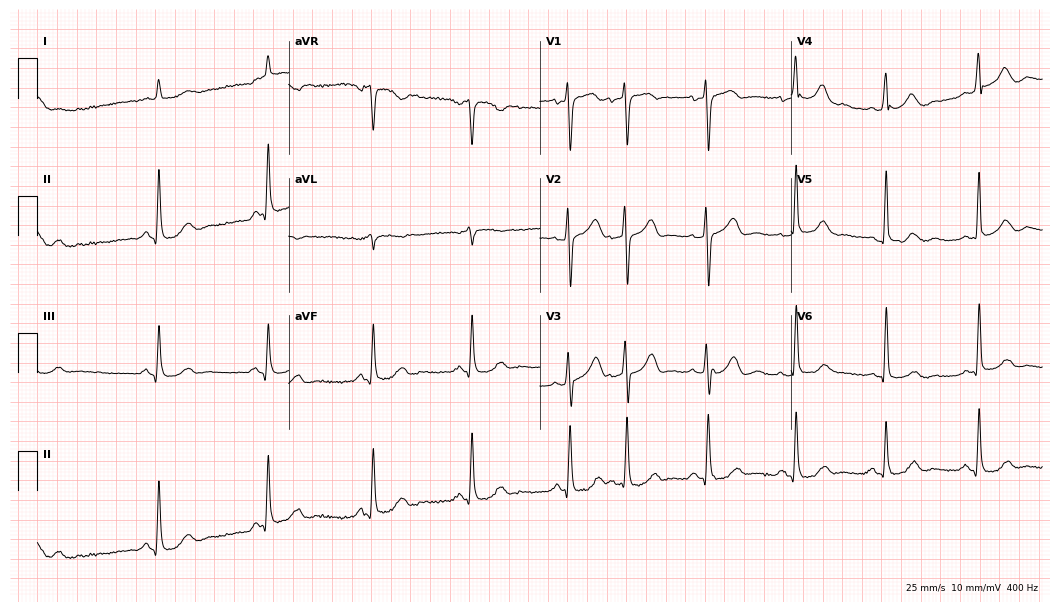
12-lead ECG from a male patient, 76 years old. Screened for six findings — first-degree AV block, right bundle branch block, left bundle branch block, sinus bradycardia, atrial fibrillation, sinus tachycardia — none is recorded.